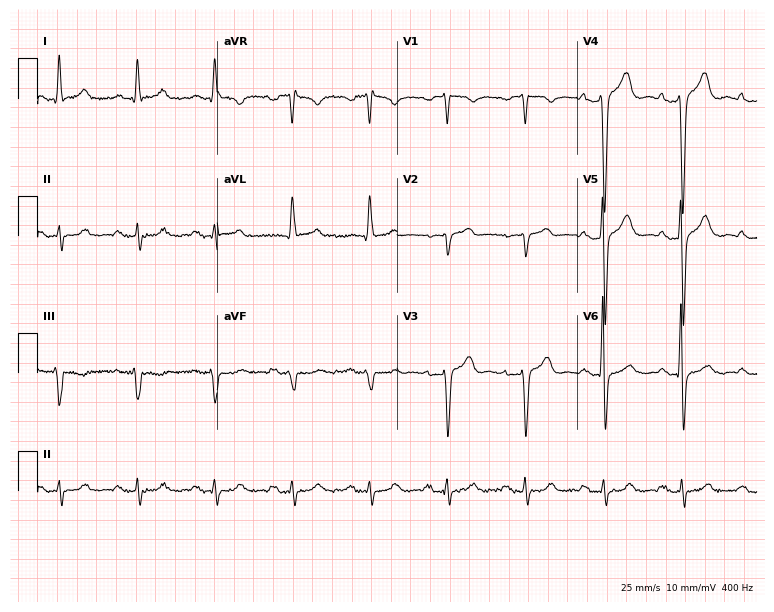
12-lead ECG (7.3-second recording at 400 Hz) from a 67-year-old man. Findings include first-degree AV block.